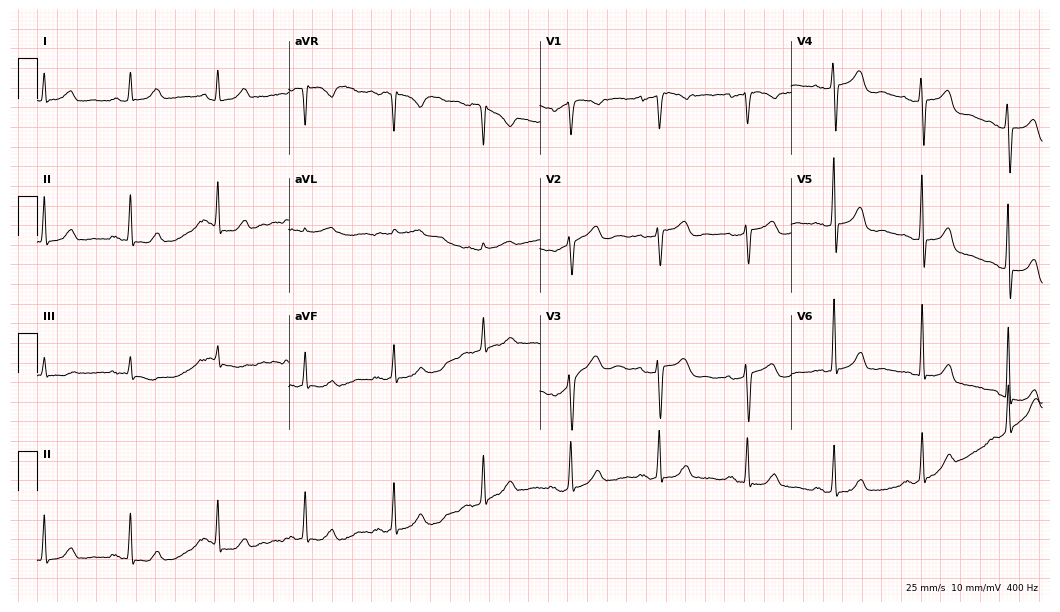
ECG — a female patient, 52 years old. Screened for six findings — first-degree AV block, right bundle branch block (RBBB), left bundle branch block (LBBB), sinus bradycardia, atrial fibrillation (AF), sinus tachycardia — none is recorded.